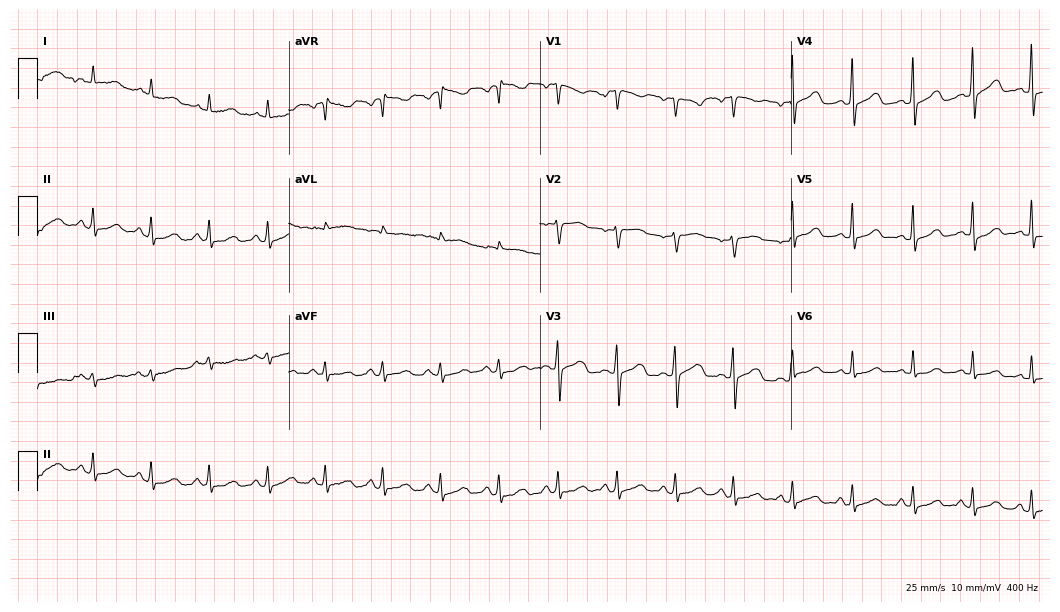
Electrocardiogram, a 36-year-old female. Interpretation includes sinus tachycardia (a sinus rate of 100 beats per minute or more).